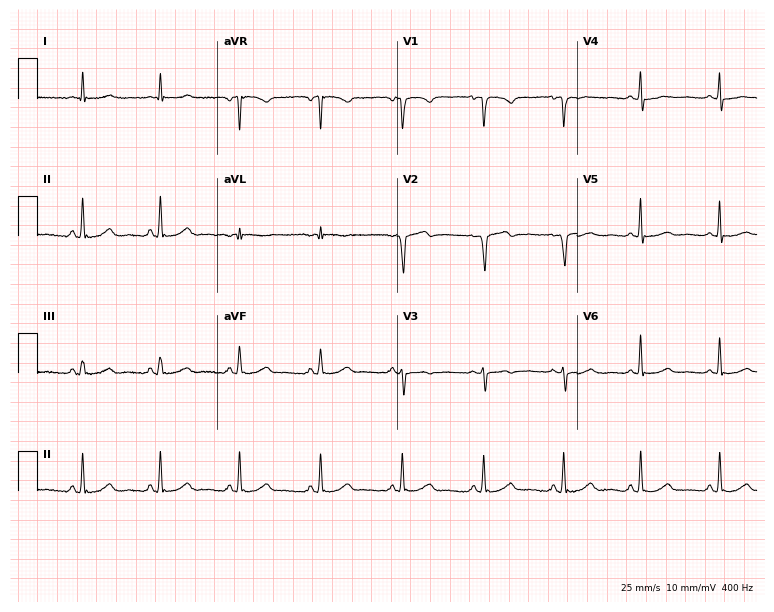
ECG (7.3-second recording at 400 Hz) — a female, 58 years old. Screened for six findings — first-degree AV block, right bundle branch block, left bundle branch block, sinus bradycardia, atrial fibrillation, sinus tachycardia — none is recorded. Other findings, if any, are not listed.